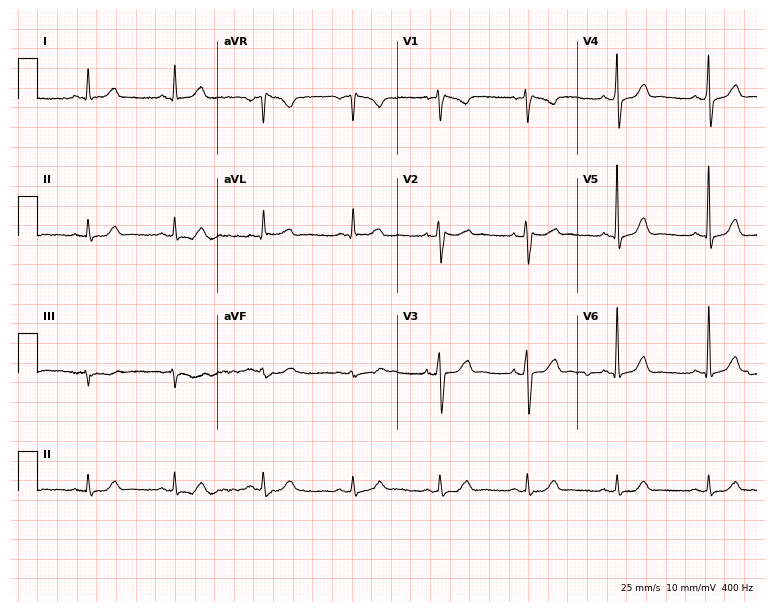
Electrocardiogram (7.3-second recording at 400 Hz), a 71-year-old man. Overall reading on record: normal ECG.